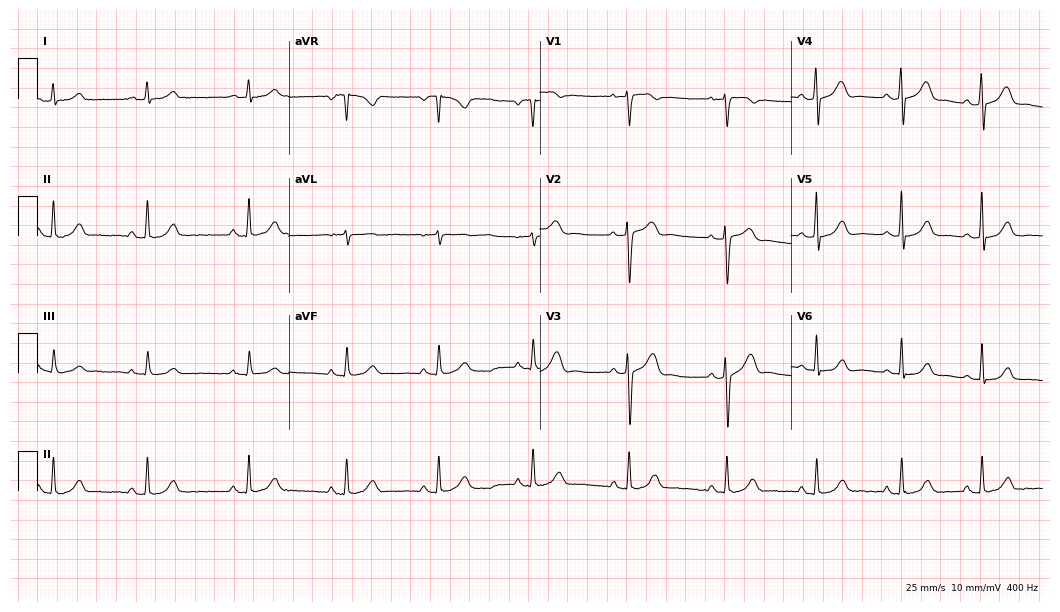
ECG — a 33-year-old female. Labelled as a normal ECG.